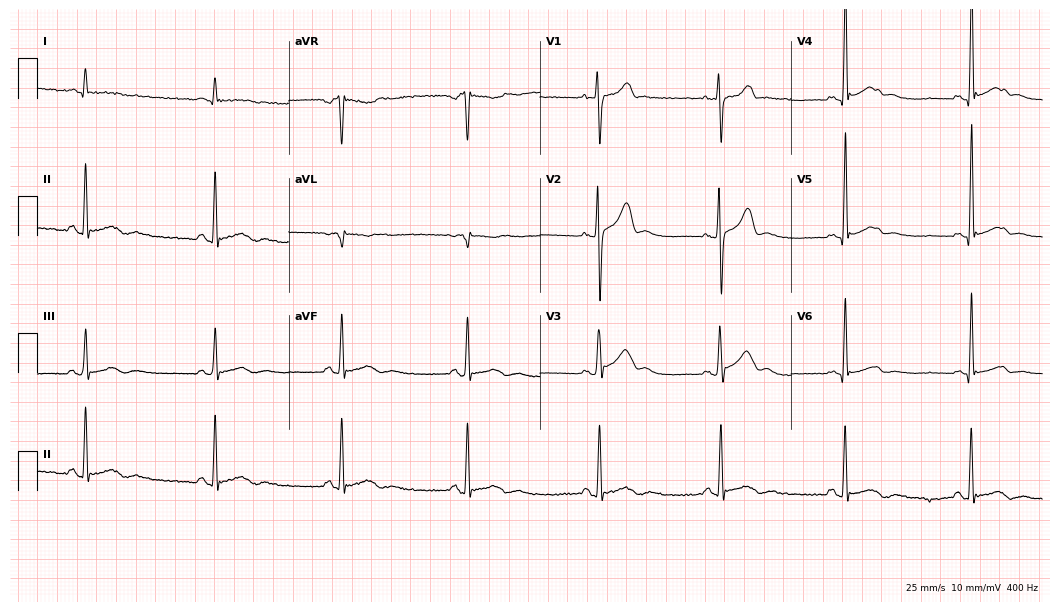
ECG (10.2-second recording at 400 Hz) — a man, 18 years old. Labelled as a normal ECG.